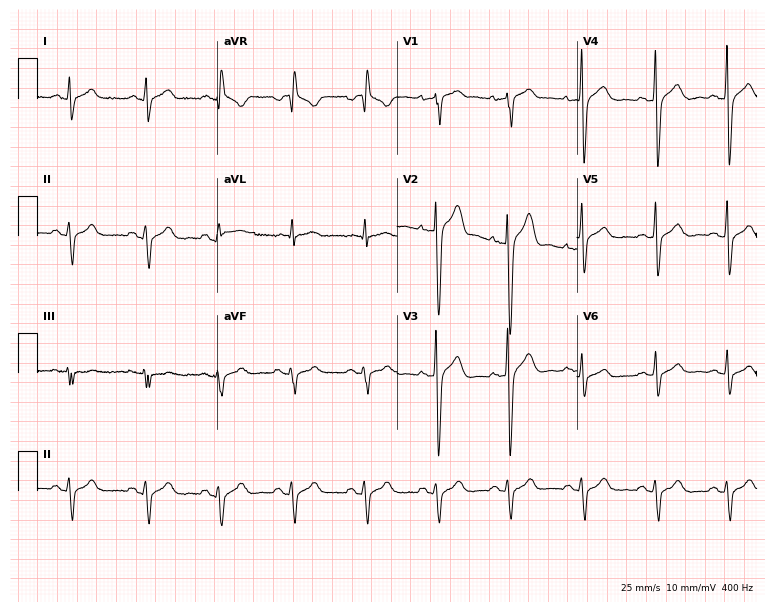
Resting 12-lead electrocardiogram. Patient: a male, 38 years old. None of these six findings is recorded: first-degree AV block, right bundle branch block, left bundle branch block, sinus bradycardia, atrial fibrillation, sinus tachycardia.